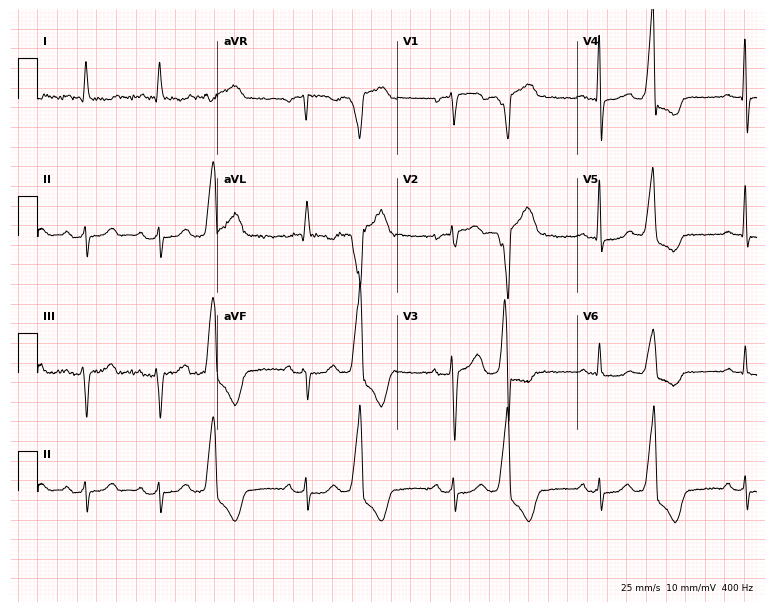
Electrocardiogram (7.3-second recording at 400 Hz), a male patient, 69 years old. Of the six screened findings (first-degree AV block, right bundle branch block, left bundle branch block, sinus bradycardia, atrial fibrillation, sinus tachycardia), none is recorded.